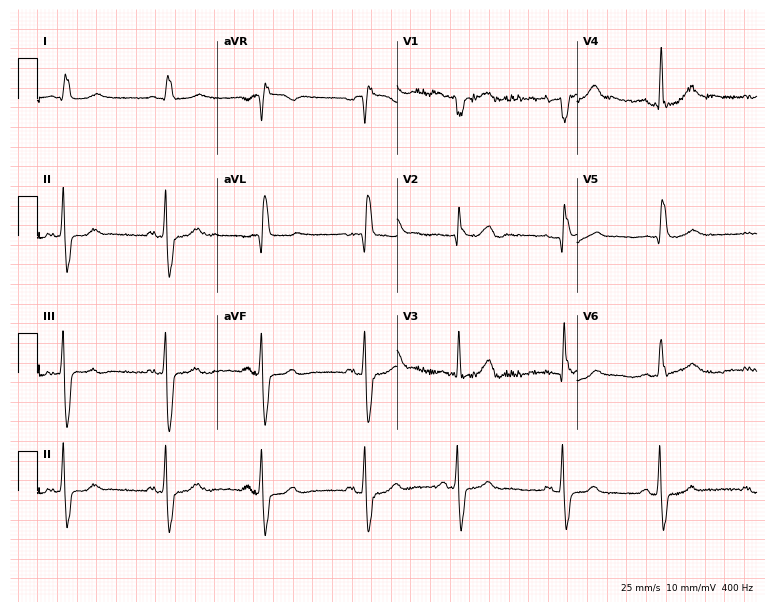
Standard 12-lead ECG recorded from an 83-year-old male. None of these six findings is recorded: first-degree AV block, right bundle branch block, left bundle branch block, sinus bradycardia, atrial fibrillation, sinus tachycardia.